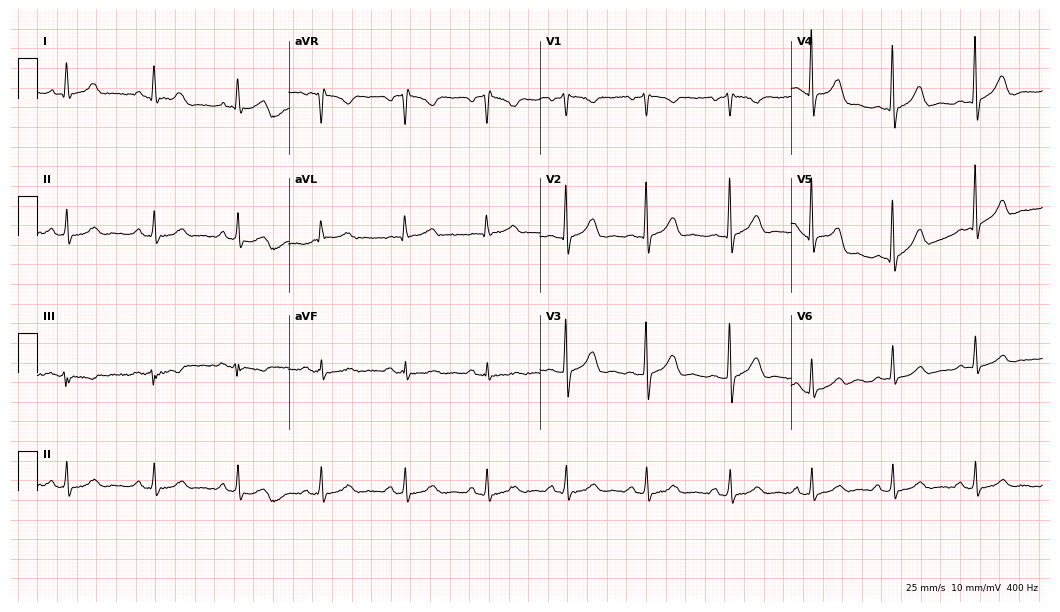
12-lead ECG from a 40-year-old woman (10.2-second recording at 400 Hz). No first-degree AV block, right bundle branch block (RBBB), left bundle branch block (LBBB), sinus bradycardia, atrial fibrillation (AF) or sinus tachycardia recorded for this tracing. Other findings, if any, are not listed.